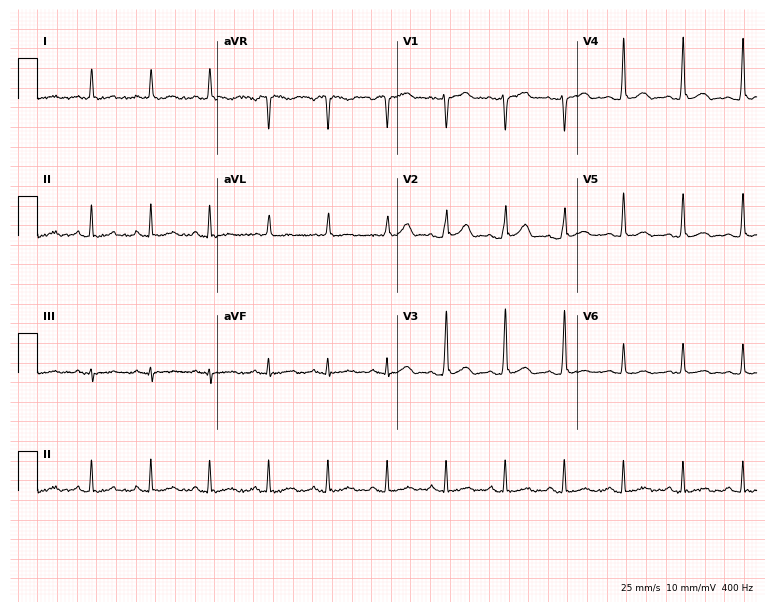
12-lead ECG from a 44-year-old male (7.3-second recording at 400 Hz). No first-degree AV block, right bundle branch block, left bundle branch block, sinus bradycardia, atrial fibrillation or sinus tachycardia recorded for this tracing. Findings outside these six are not listed.